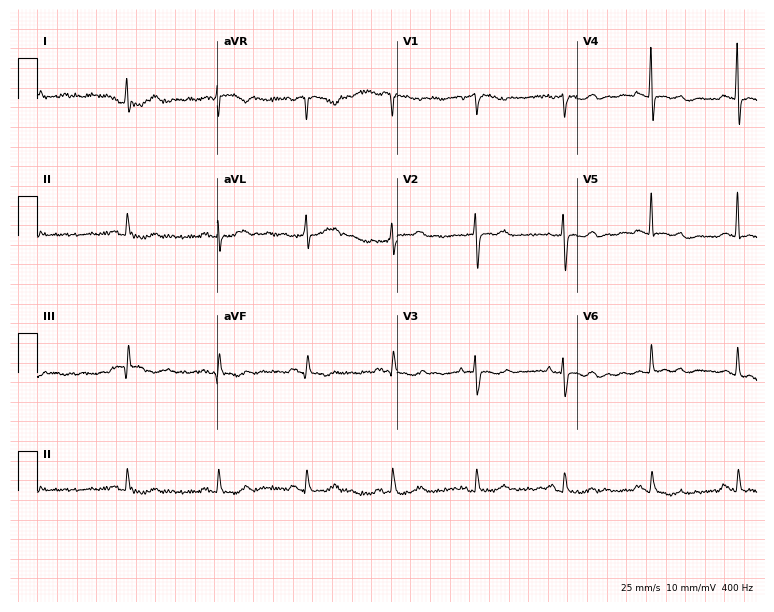
Electrocardiogram (7.3-second recording at 400 Hz), a woman, 70 years old. Of the six screened findings (first-degree AV block, right bundle branch block, left bundle branch block, sinus bradycardia, atrial fibrillation, sinus tachycardia), none is recorded.